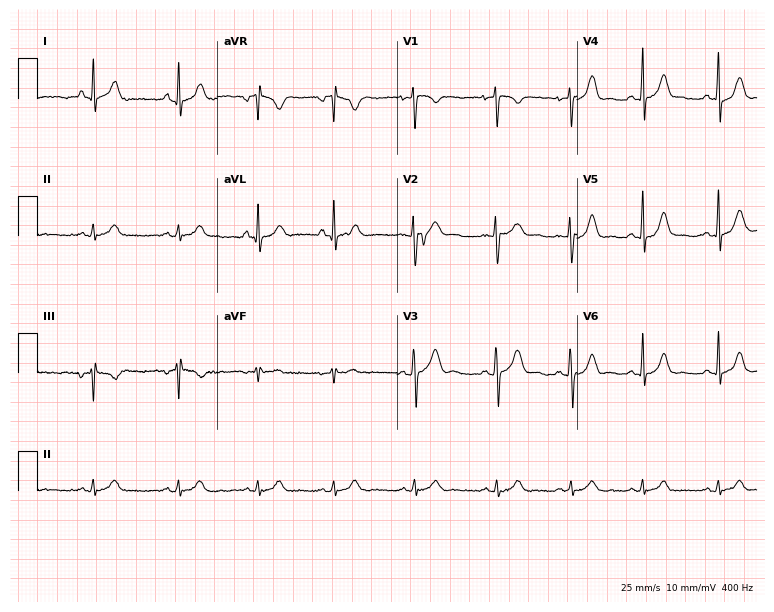
12-lead ECG from a woman, 17 years old. Recorded interpretation: within normal limits.